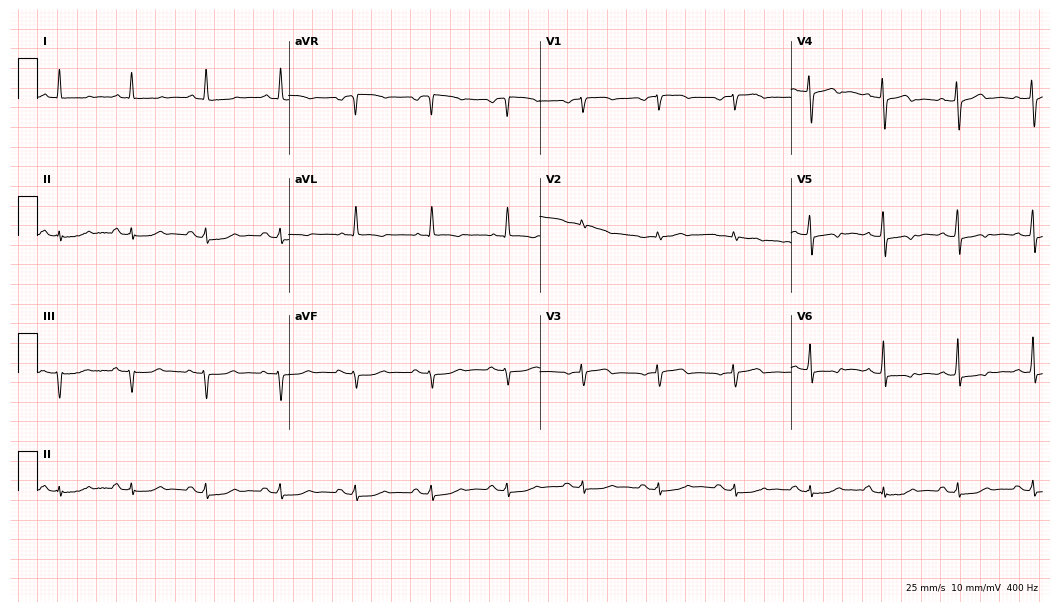
Resting 12-lead electrocardiogram. Patient: an 80-year-old female. None of these six findings is recorded: first-degree AV block, right bundle branch block, left bundle branch block, sinus bradycardia, atrial fibrillation, sinus tachycardia.